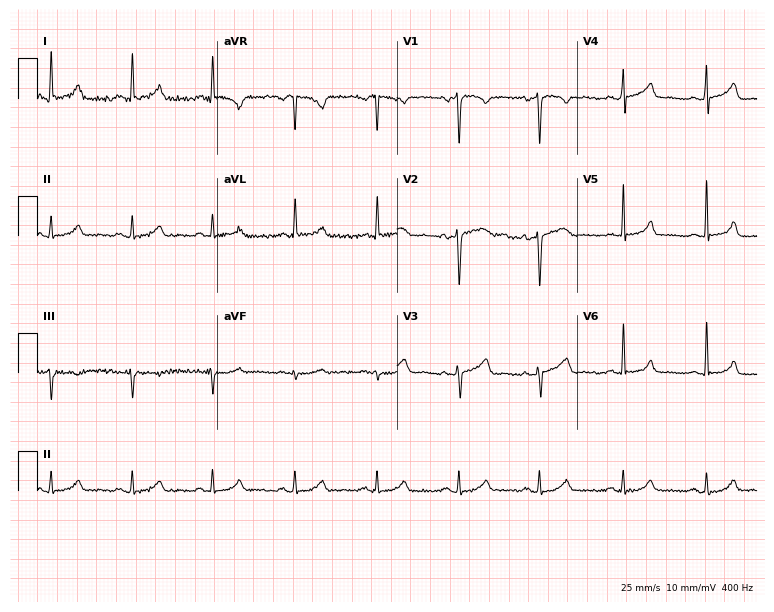
ECG — a female, 40 years old. Labelled as a normal ECG.